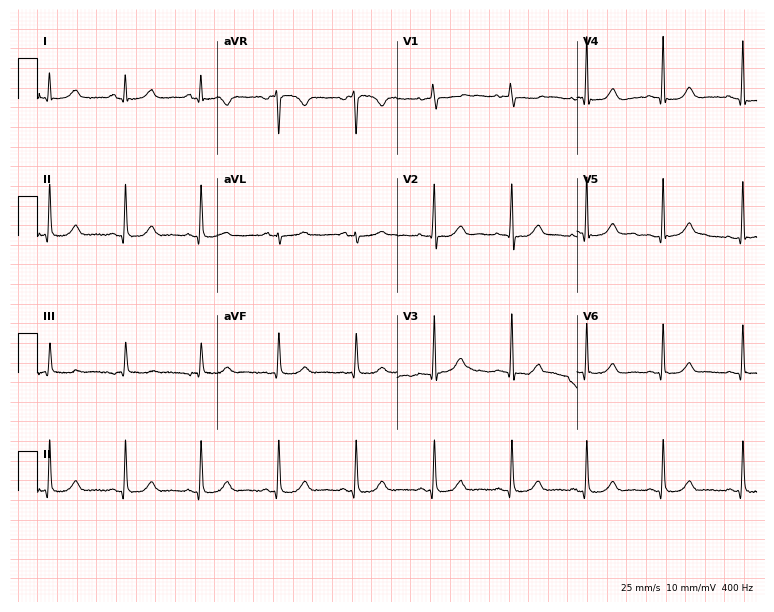
ECG (7.3-second recording at 400 Hz) — a 35-year-old female. Labelled as a normal ECG.